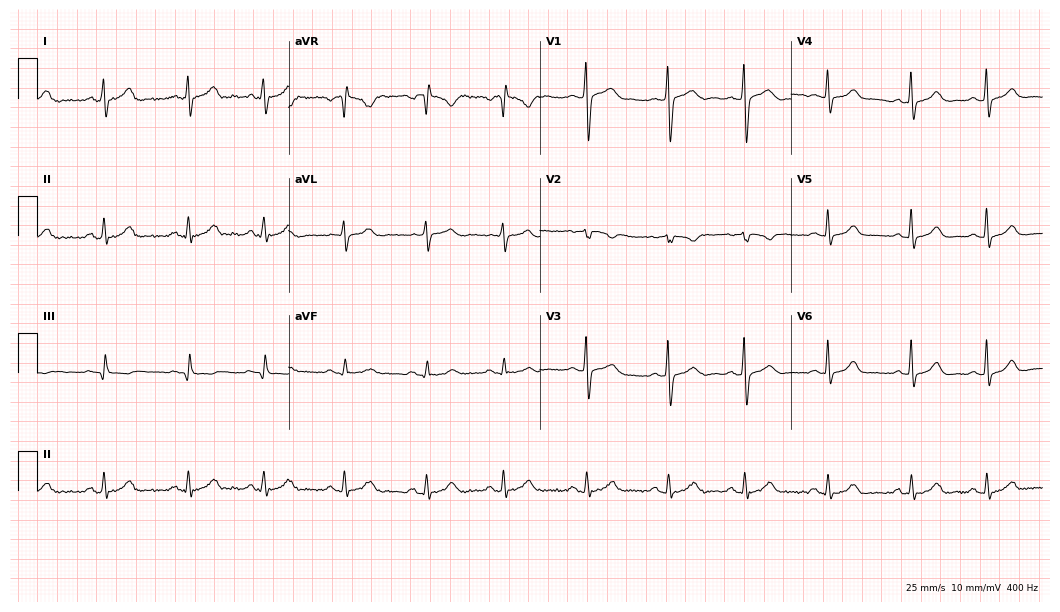
Electrocardiogram (10.2-second recording at 400 Hz), a female, 34 years old. Overall reading on record: normal ECG.